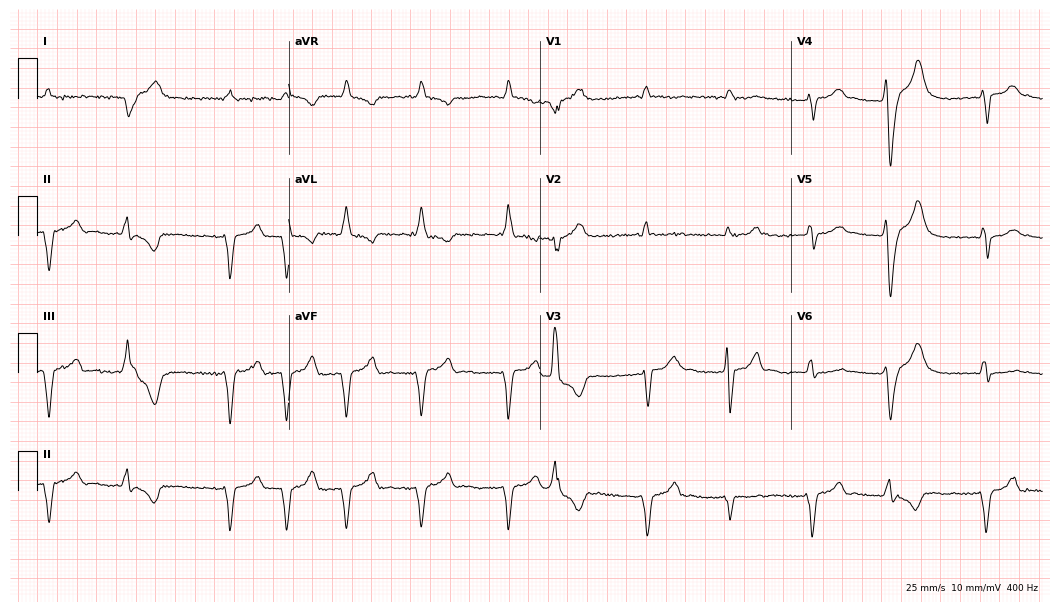
Standard 12-lead ECG recorded from a male, 67 years old (10.2-second recording at 400 Hz). None of these six findings is recorded: first-degree AV block, right bundle branch block, left bundle branch block, sinus bradycardia, atrial fibrillation, sinus tachycardia. Other findings, if any, are not listed.